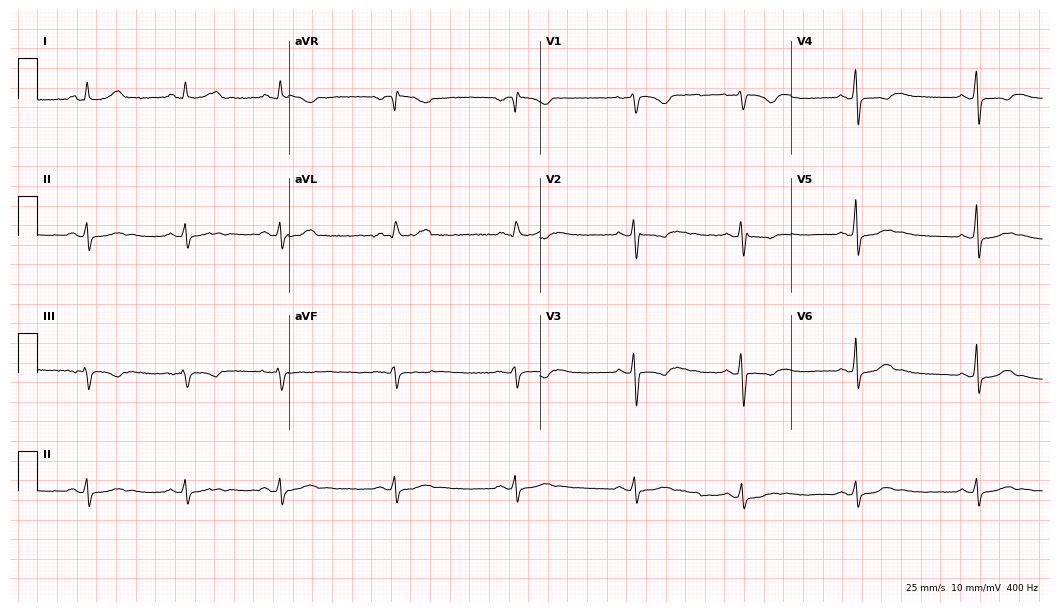
Standard 12-lead ECG recorded from a 33-year-old woman (10.2-second recording at 400 Hz). None of these six findings is recorded: first-degree AV block, right bundle branch block, left bundle branch block, sinus bradycardia, atrial fibrillation, sinus tachycardia.